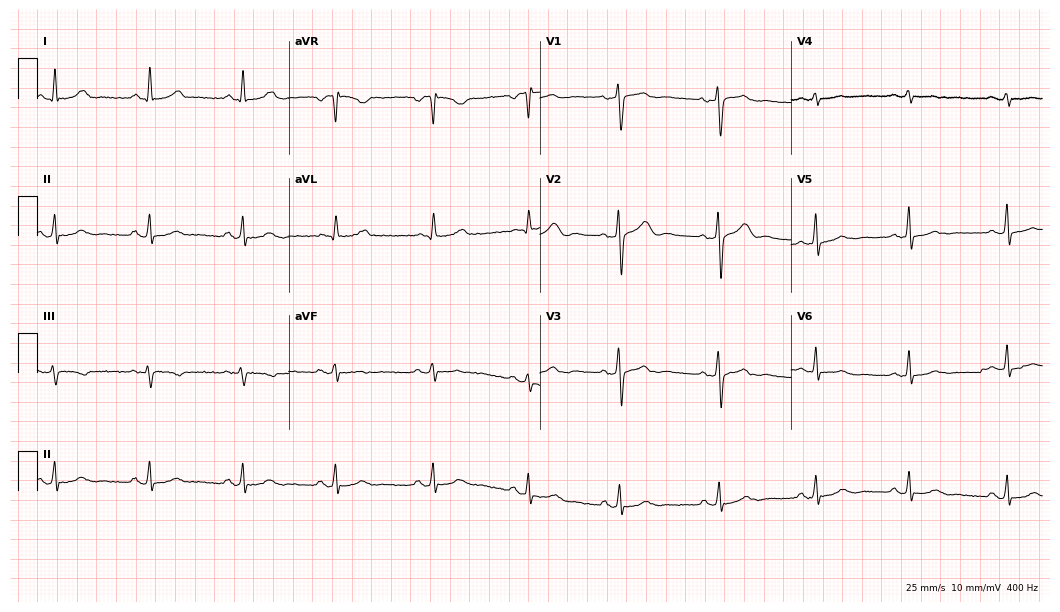
12-lead ECG from a 49-year-old female. Labelled as a normal ECG.